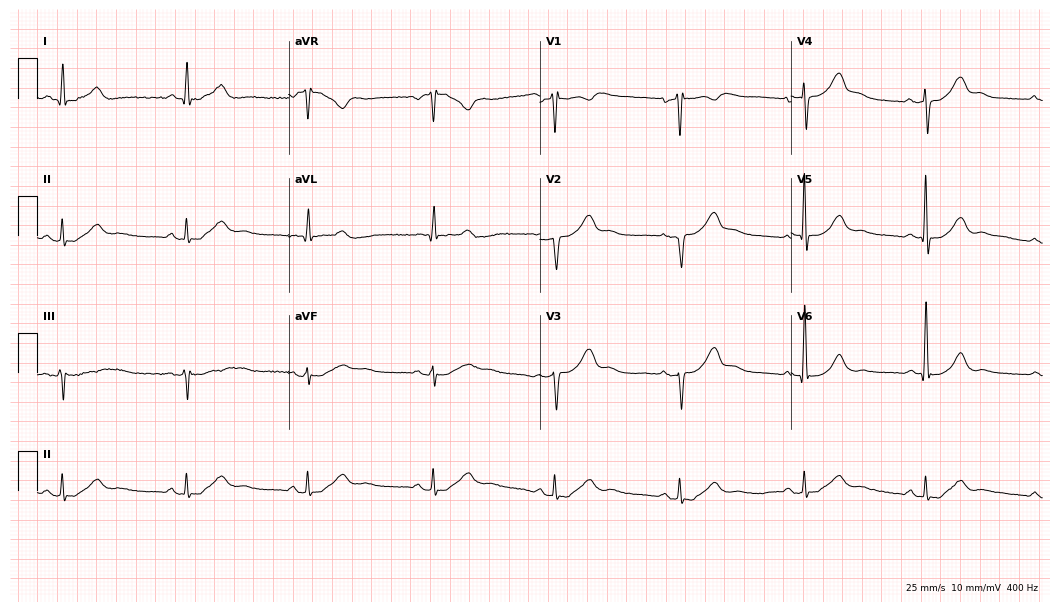
Electrocardiogram (10.2-second recording at 400 Hz), a 55-year-old male patient. Of the six screened findings (first-degree AV block, right bundle branch block (RBBB), left bundle branch block (LBBB), sinus bradycardia, atrial fibrillation (AF), sinus tachycardia), none is recorded.